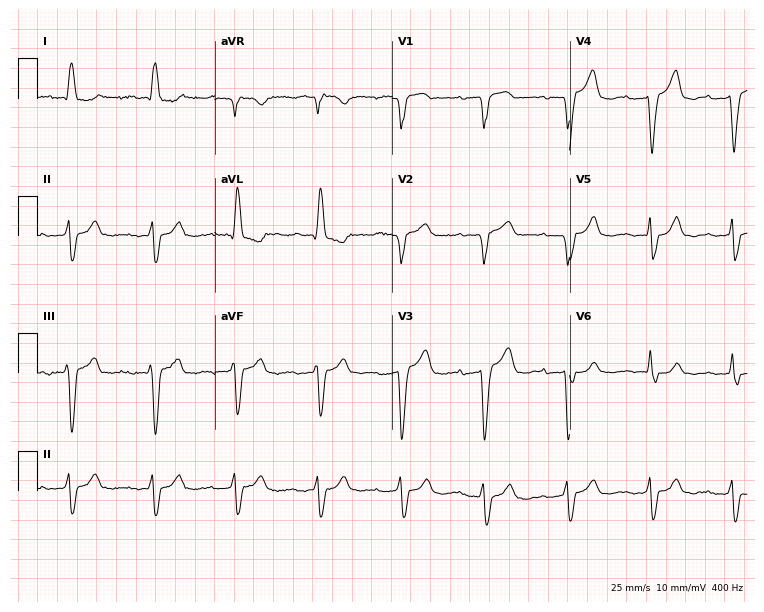
ECG (7.2-second recording at 400 Hz) — a 78-year-old female. Screened for six findings — first-degree AV block, right bundle branch block (RBBB), left bundle branch block (LBBB), sinus bradycardia, atrial fibrillation (AF), sinus tachycardia — none is recorded.